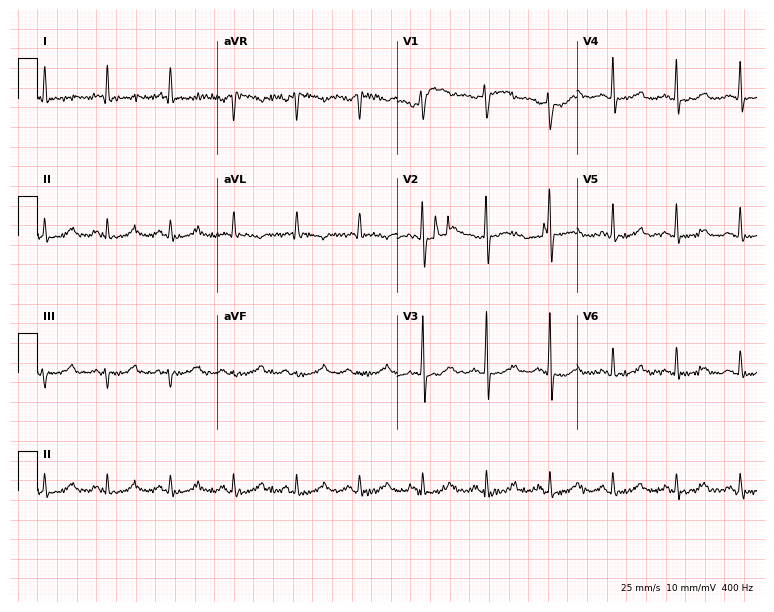
12-lead ECG from a male, 57 years old. Screened for six findings — first-degree AV block, right bundle branch block, left bundle branch block, sinus bradycardia, atrial fibrillation, sinus tachycardia — none is recorded.